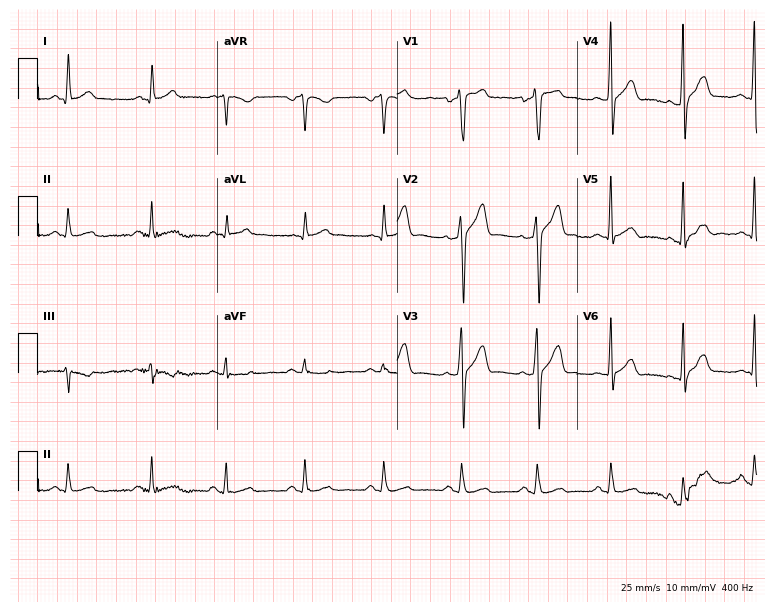
12-lead ECG (7.3-second recording at 400 Hz) from a man, 46 years old. Labelled as a normal ECG.